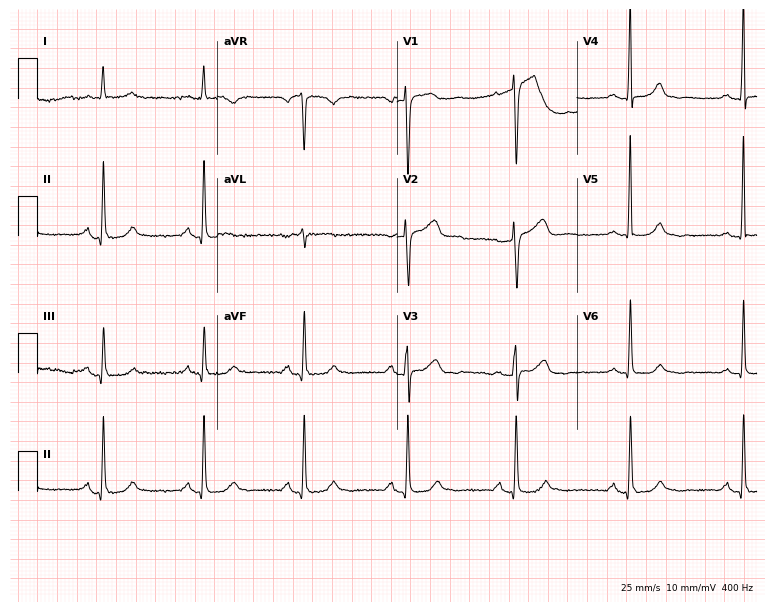
Standard 12-lead ECG recorded from a woman, 67 years old (7.3-second recording at 400 Hz). None of these six findings is recorded: first-degree AV block, right bundle branch block (RBBB), left bundle branch block (LBBB), sinus bradycardia, atrial fibrillation (AF), sinus tachycardia.